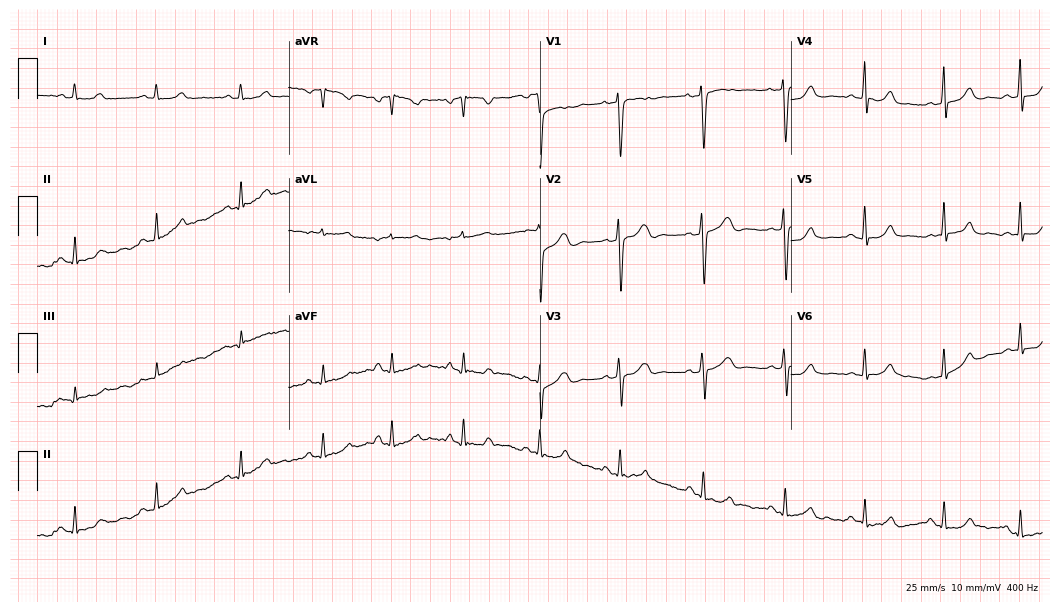
Electrocardiogram (10.2-second recording at 400 Hz), a female patient, 26 years old. Overall reading on record: normal ECG.